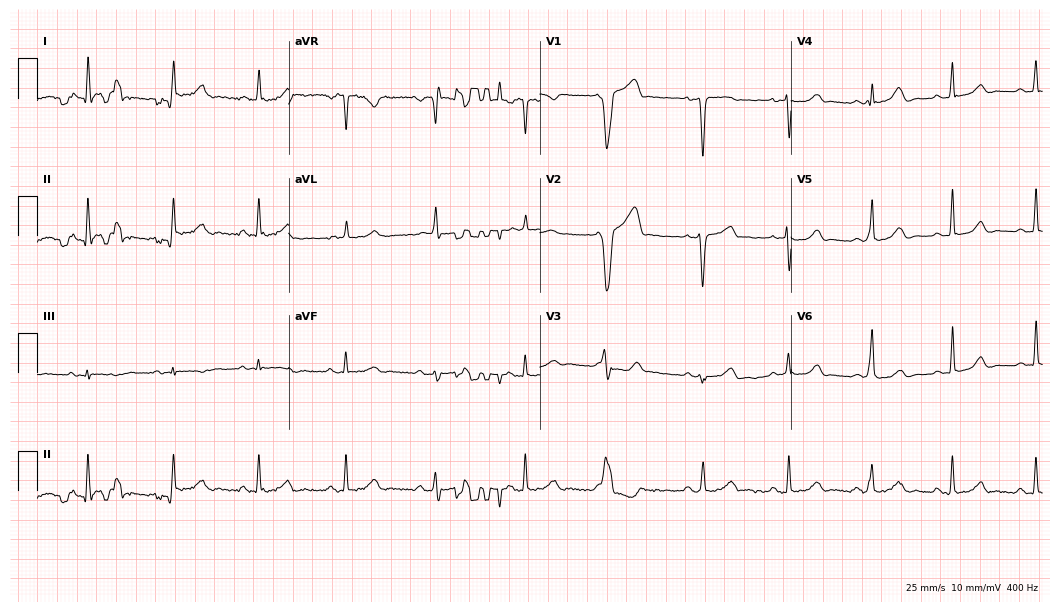
ECG — a female patient, 46 years old. Labelled as a normal ECG.